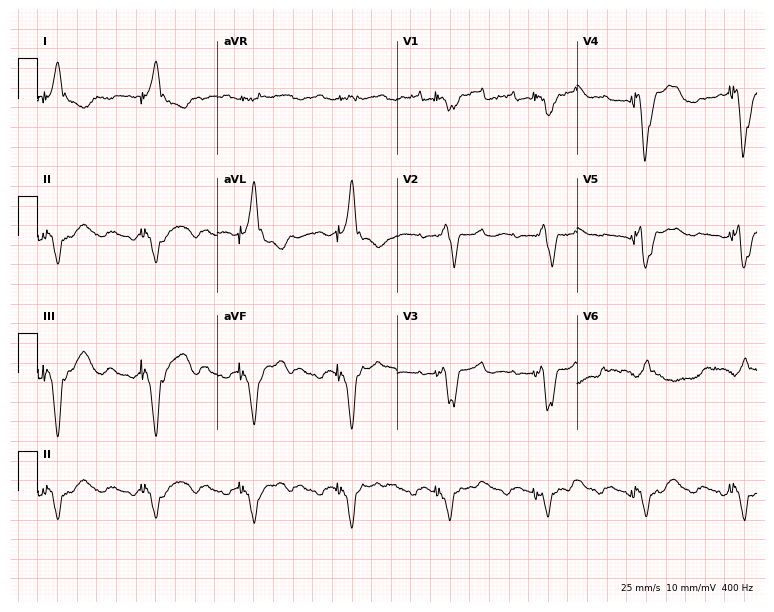
ECG (7.3-second recording at 400 Hz) — a woman, 47 years old. Screened for six findings — first-degree AV block, right bundle branch block (RBBB), left bundle branch block (LBBB), sinus bradycardia, atrial fibrillation (AF), sinus tachycardia — none is recorded.